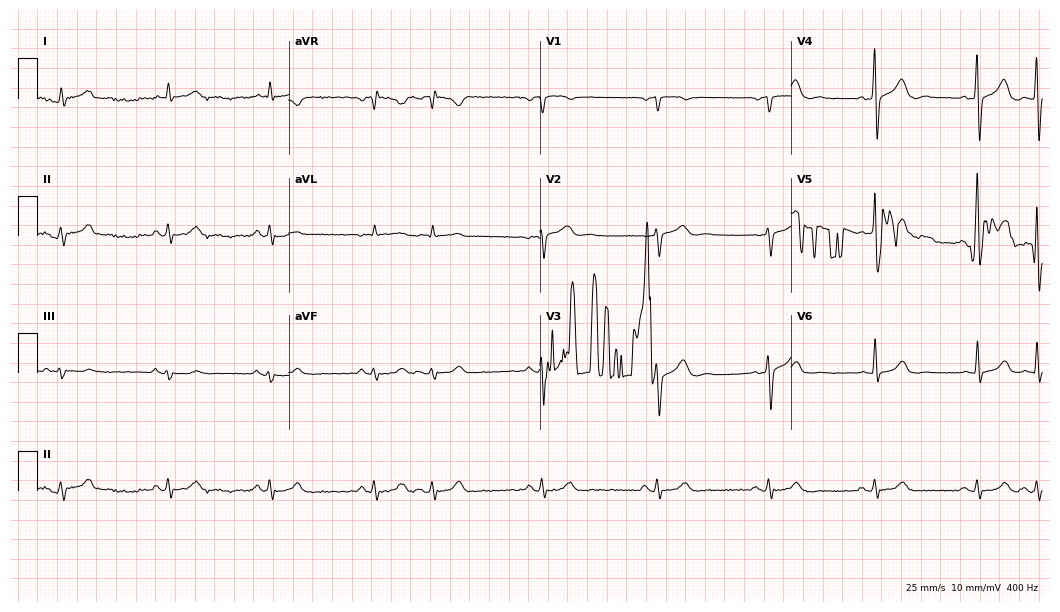
Standard 12-lead ECG recorded from a male patient, 70 years old (10.2-second recording at 400 Hz). None of these six findings is recorded: first-degree AV block, right bundle branch block (RBBB), left bundle branch block (LBBB), sinus bradycardia, atrial fibrillation (AF), sinus tachycardia.